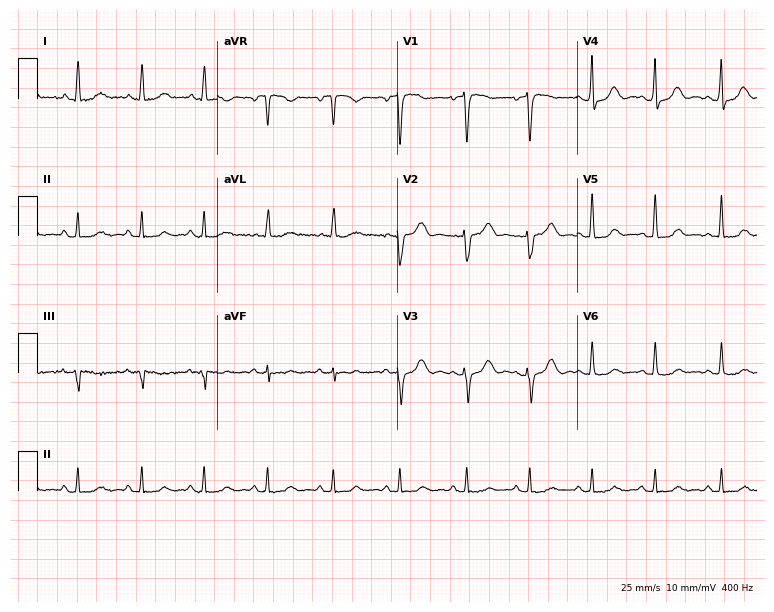
Standard 12-lead ECG recorded from a female patient, 52 years old (7.3-second recording at 400 Hz). Read as a normal ECG.